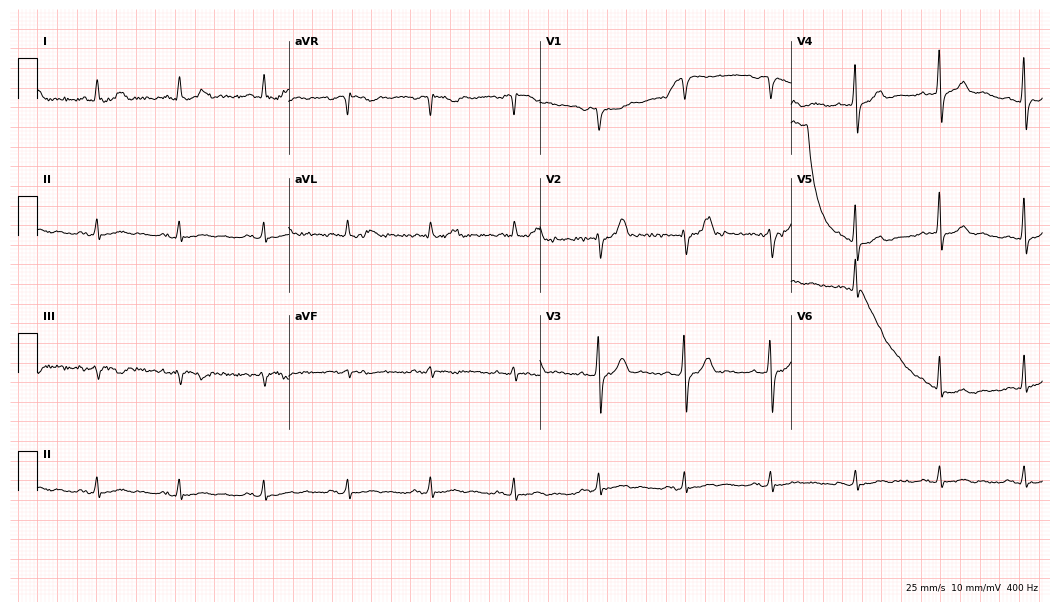
12-lead ECG (10.2-second recording at 400 Hz) from a 60-year-old male patient. Screened for six findings — first-degree AV block, right bundle branch block, left bundle branch block, sinus bradycardia, atrial fibrillation, sinus tachycardia — none is recorded. Other findings, if any, are not listed.